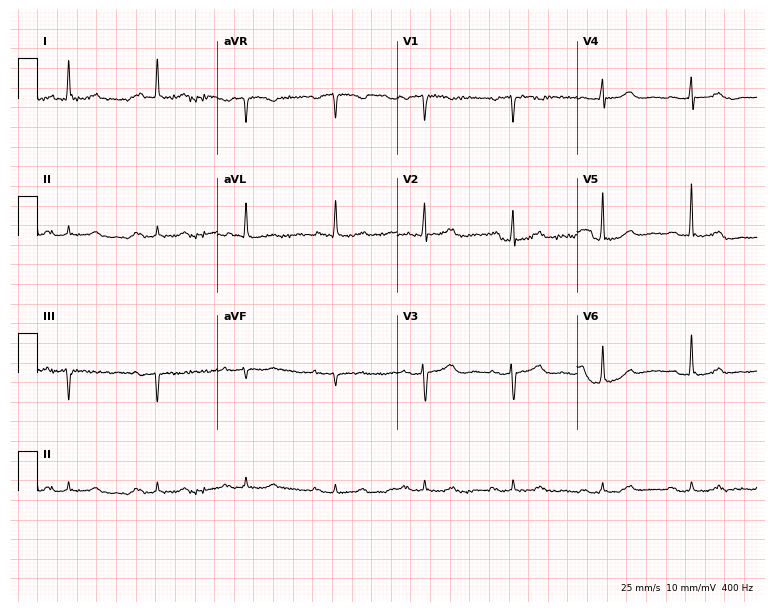
Standard 12-lead ECG recorded from a female patient, 77 years old. Read as a normal ECG.